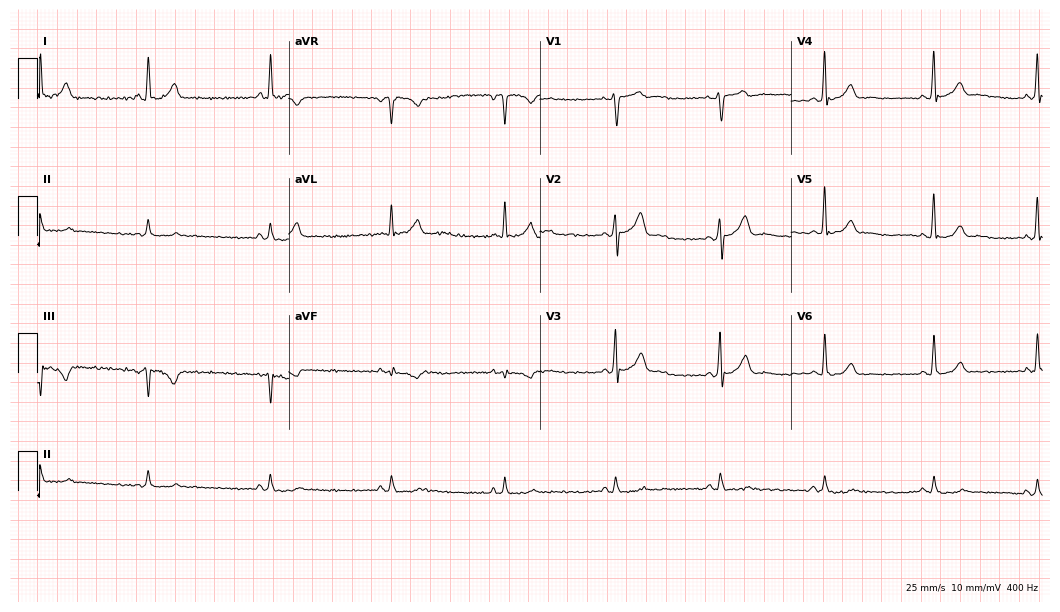
12-lead ECG from a 51-year-old male patient. Recorded interpretation: within normal limits.